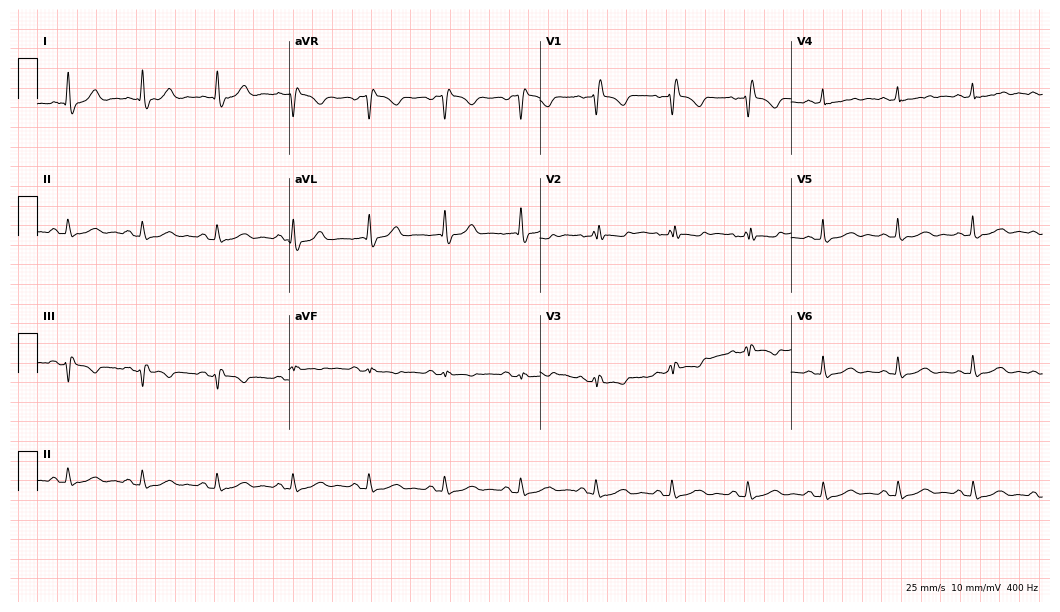
12-lead ECG from a 44-year-old female patient. Shows right bundle branch block (RBBB).